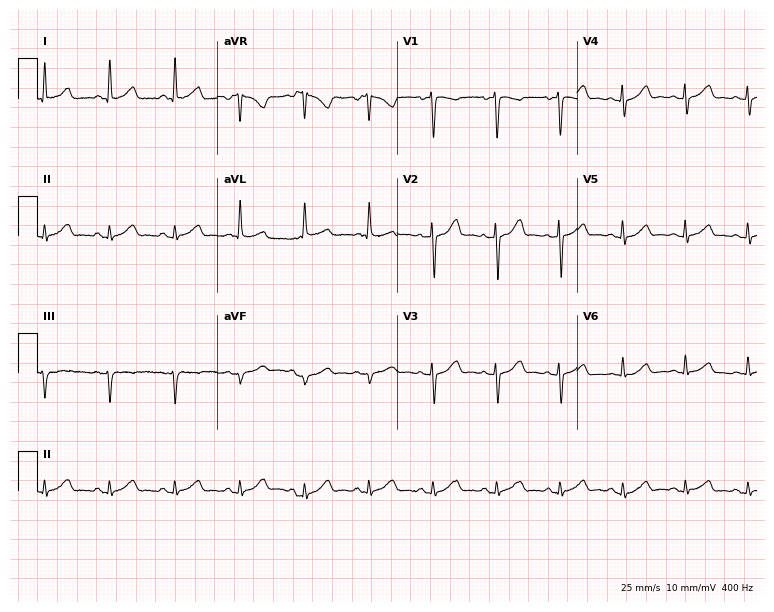
Electrocardiogram, a 35-year-old woman. Overall reading on record: normal ECG.